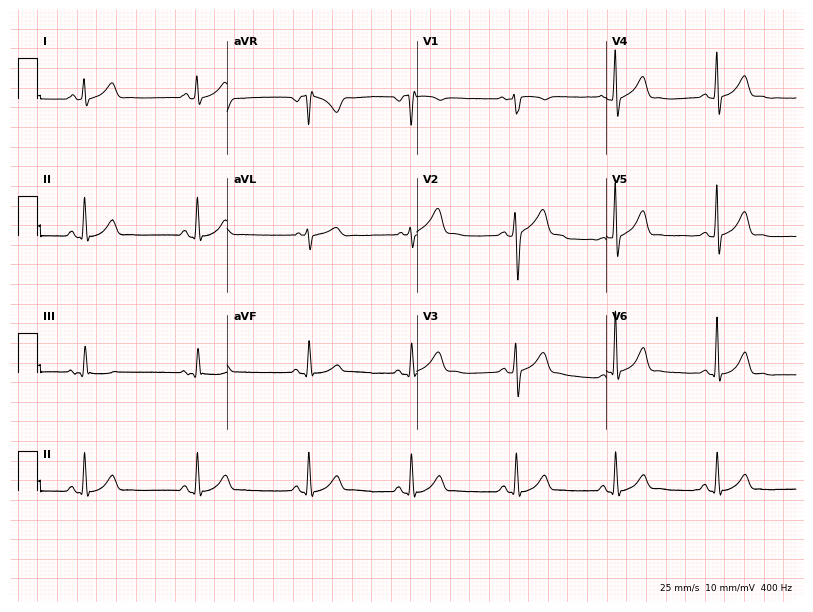
Electrocardiogram (7.7-second recording at 400 Hz), a 32-year-old man. Overall reading on record: normal ECG.